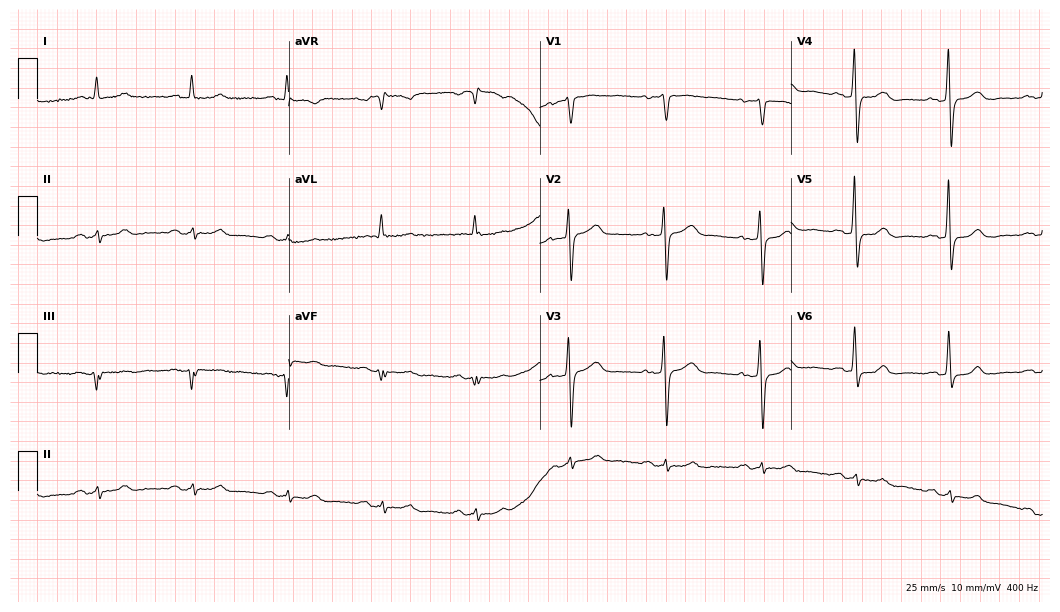
Electrocardiogram (10.2-second recording at 400 Hz), a woman, 63 years old. Of the six screened findings (first-degree AV block, right bundle branch block (RBBB), left bundle branch block (LBBB), sinus bradycardia, atrial fibrillation (AF), sinus tachycardia), none is recorded. Other findings, if any, are not listed.